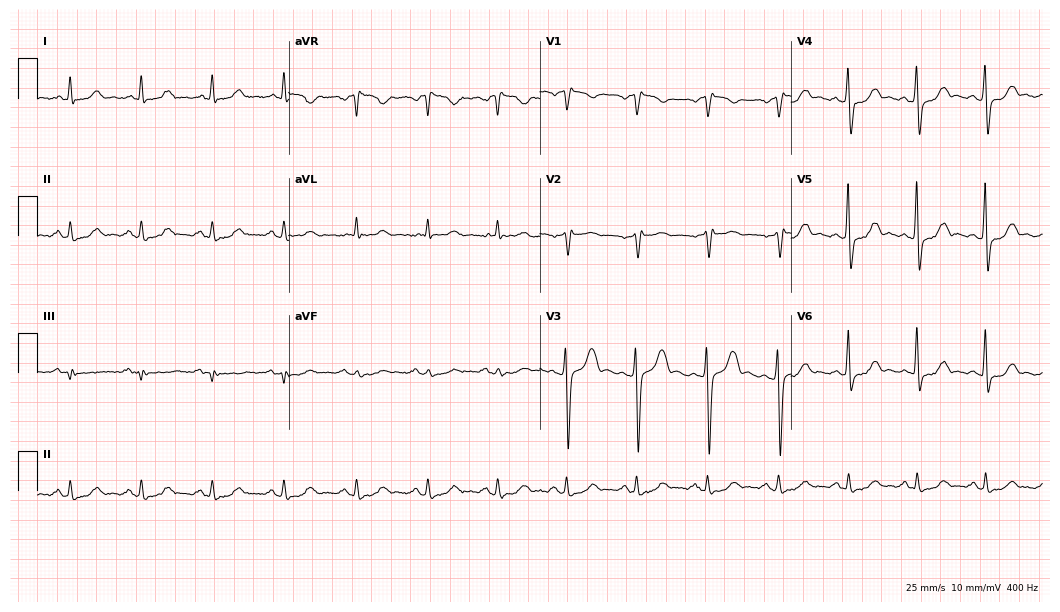
12-lead ECG from a 48-year-old male. No first-degree AV block, right bundle branch block (RBBB), left bundle branch block (LBBB), sinus bradycardia, atrial fibrillation (AF) or sinus tachycardia recorded for this tracing. Findings outside these six are not listed.